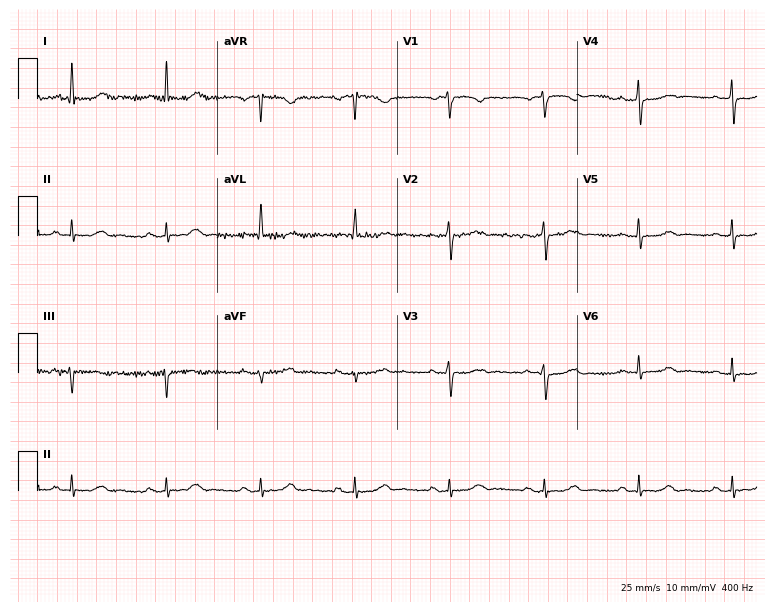
12-lead ECG (7.3-second recording at 400 Hz) from a 75-year-old female patient. Screened for six findings — first-degree AV block, right bundle branch block, left bundle branch block, sinus bradycardia, atrial fibrillation, sinus tachycardia — none is recorded.